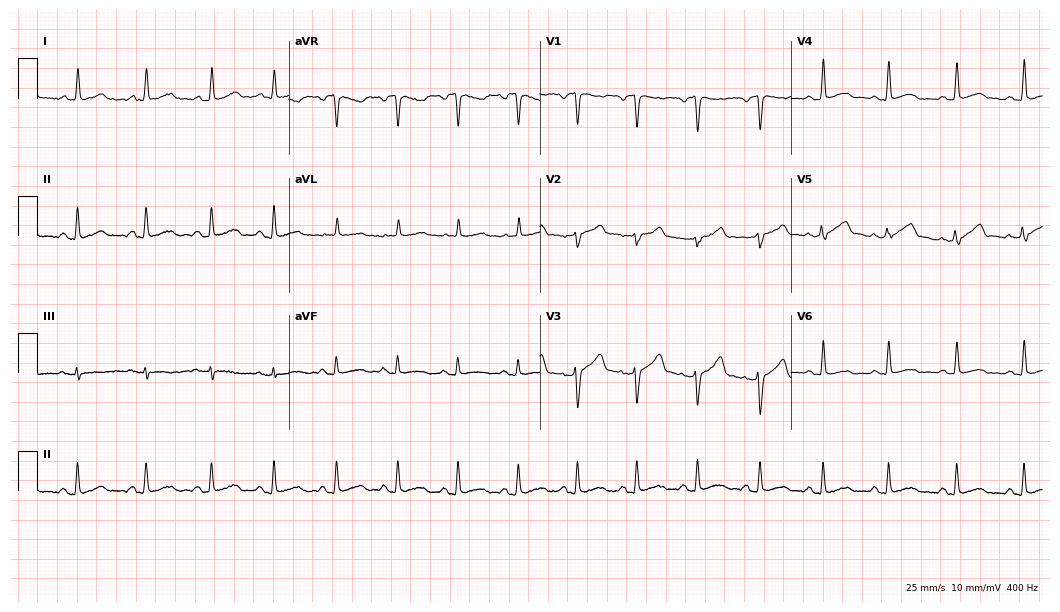
Standard 12-lead ECG recorded from a man, 36 years old (10.2-second recording at 400 Hz). Read as a normal ECG.